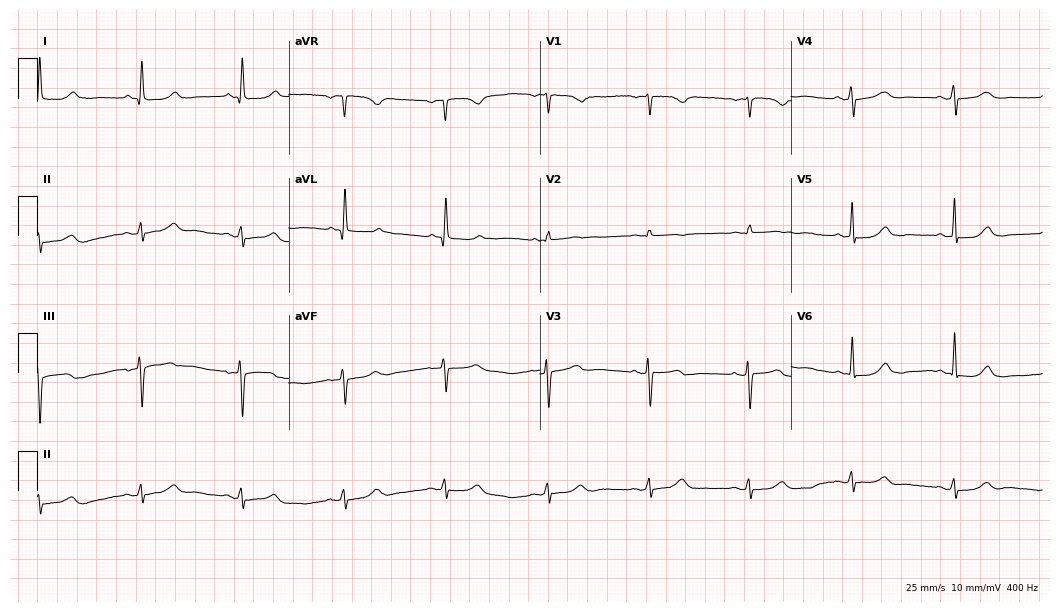
Electrocardiogram (10.2-second recording at 400 Hz), a 70-year-old woman. Overall reading on record: normal ECG.